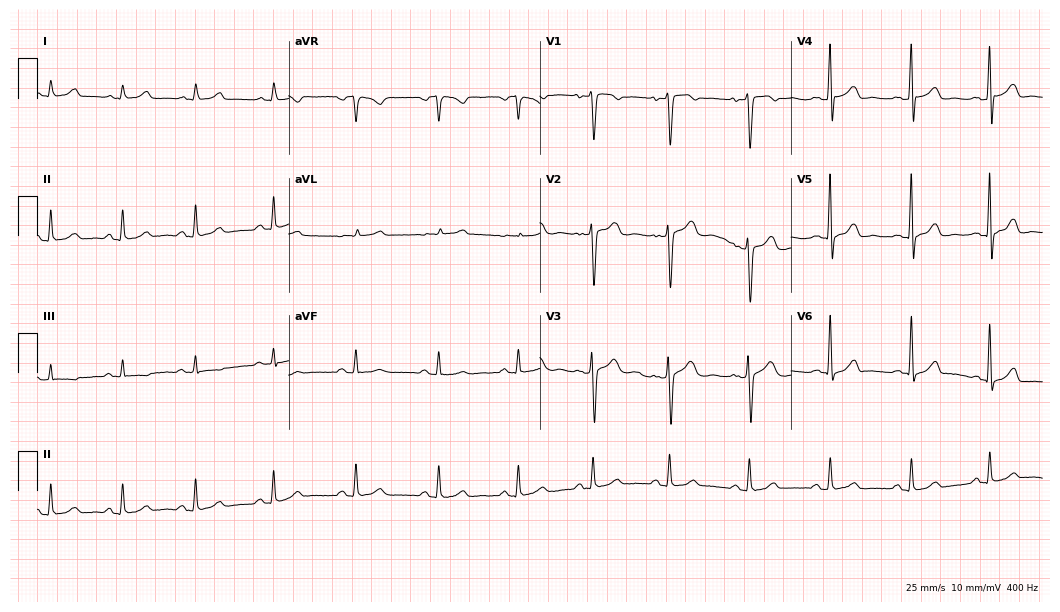
ECG (10.2-second recording at 400 Hz) — a 36-year-old woman. Labelled as a normal ECG.